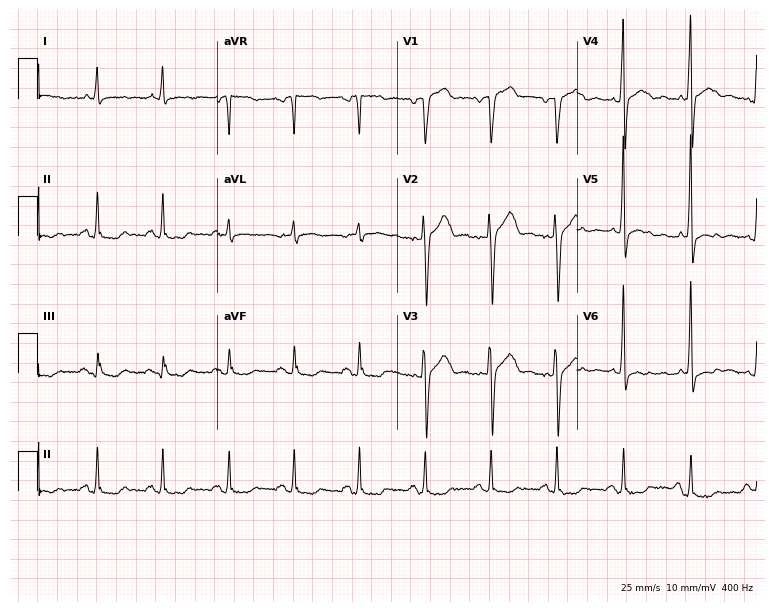
Resting 12-lead electrocardiogram (7.3-second recording at 400 Hz). Patient: a 63-year-old male. None of these six findings is recorded: first-degree AV block, right bundle branch block, left bundle branch block, sinus bradycardia, atrial fibrillation, sinus tachycardia.